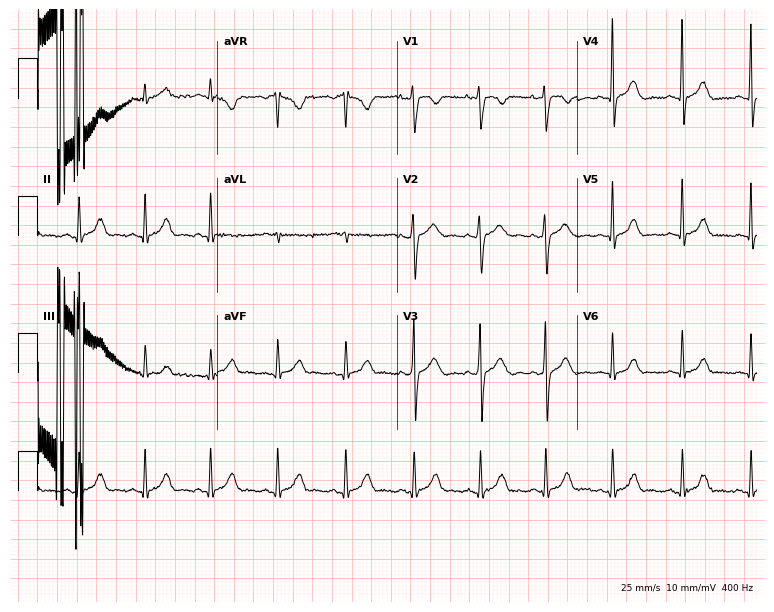
Standard 12-lead ECG recorded from a woman, 24 years old (7.3-second recording at 400 Hz). None of these six findings is recorded: first-degree AV block, right bundle branch block, left bundle branch block, sinus bradycardia, atrial fibrillation, sinus tachycardia.